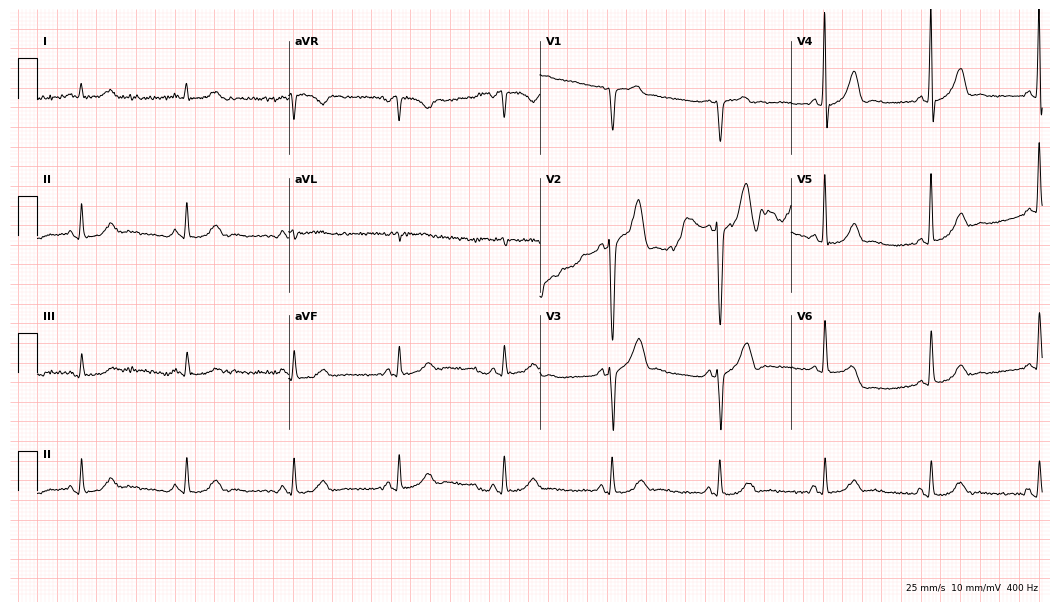
Electrocardiogram (10.2-second recording at 400 Hz), a 75-year-old man. Overall reading on record: normal ECG.